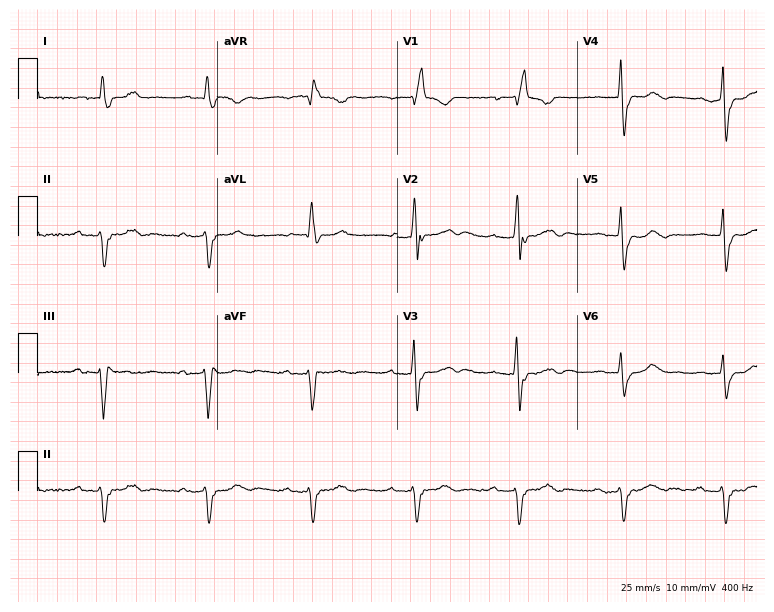
ECG (7.3-second recording at 400 Hz) — a man, 80 years old. Findings include first-degree AV block, right bundle branch block.